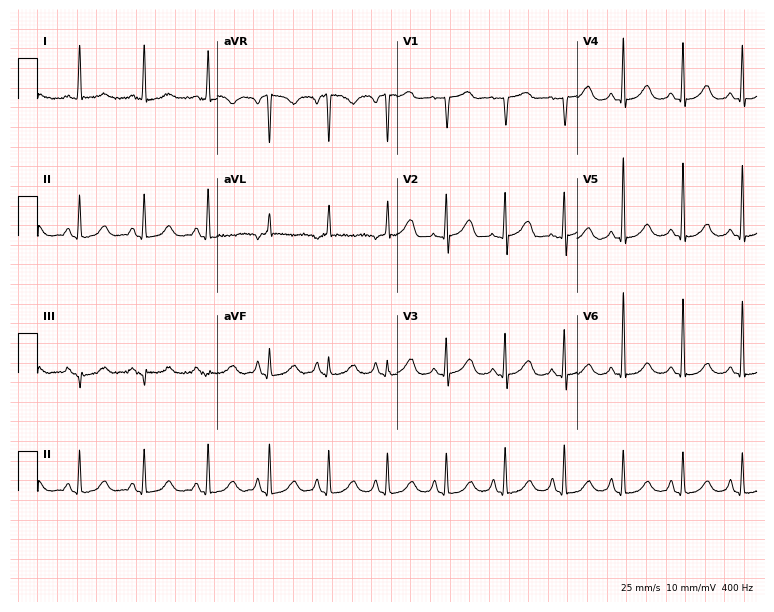
Resting 12-lead electrocardiogram. Patient: a female, 77 years old. Read as a normal ECG.